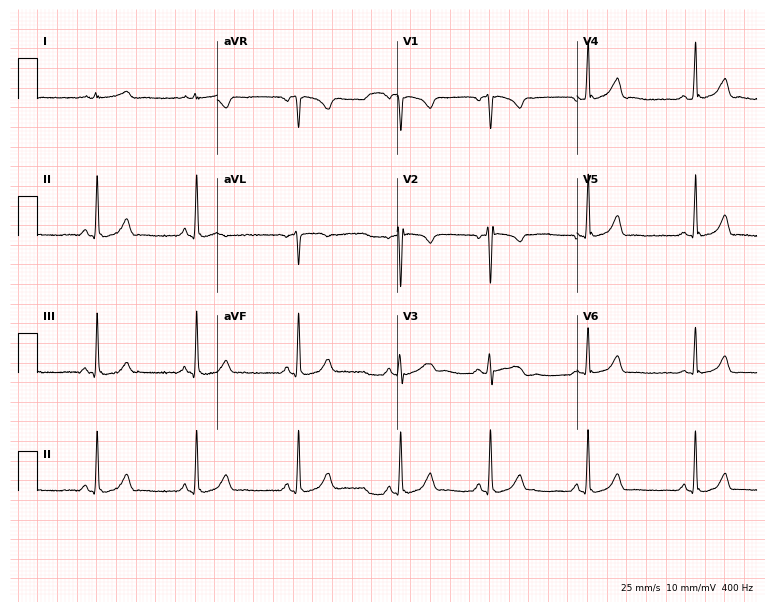
Standard 12-lead ECG recorded from a 25-year-old female patient. Read as a normal ECG.